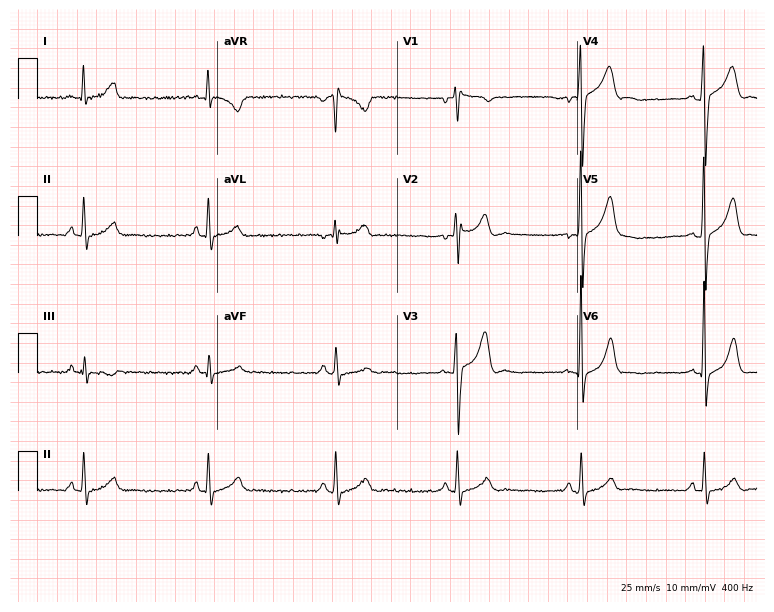
ECG (7.3-second recording at 400 Hz) — a male patient, 29 years old. Findings include sinus bradycardia (a sinus rate of 50 beats per minute or less).